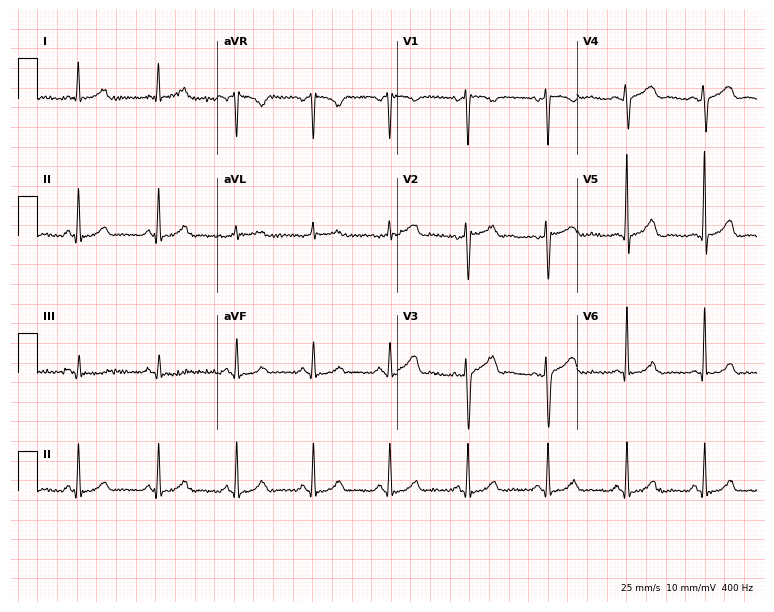
12-lead ECG from a 51-year-old female. Screened for six findings — first-degree AV block, right bundle branch block, left bundle branch block, sinus bradycardia, atrial fibrillation, sinus tachycardia — none is recorded.